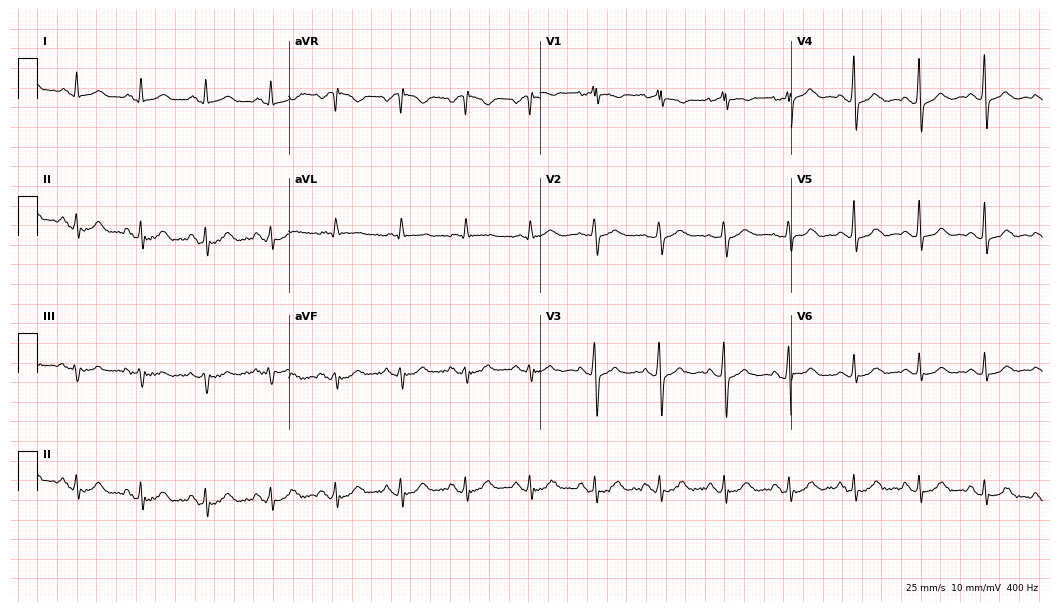
12-lead ECG from a 69-year-old female (10.2-second recording at 400 Hz). Recorded interpretation: within normal limits.